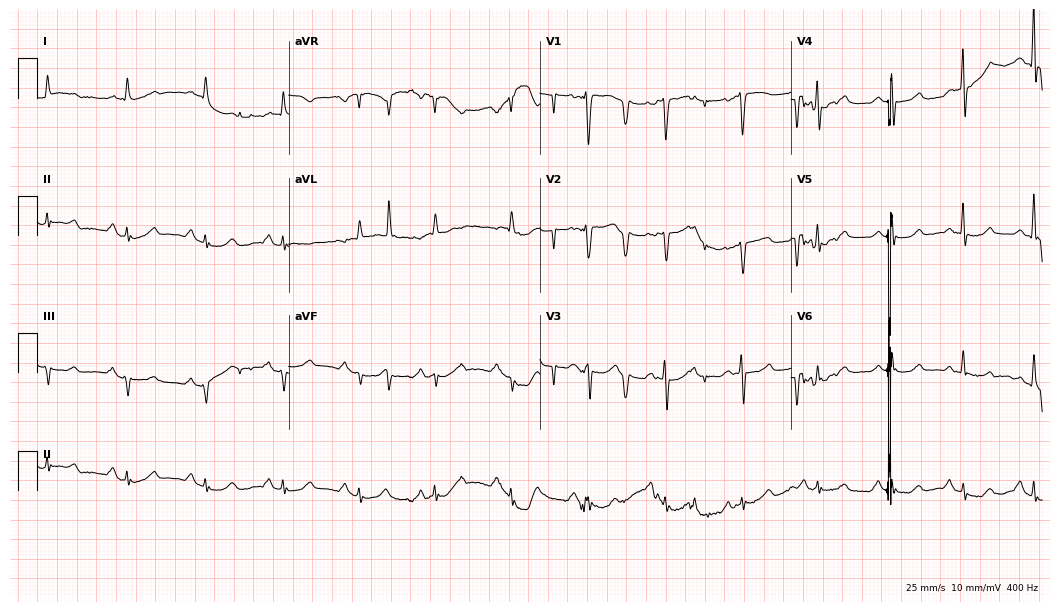
12-lead ECG (10.2-second recording at 400 Hz) from a 62-year-old woman. Screened for six findings — first-degree AV block, right bundle branch block, left bundle branch block, sinus bradycardia, atrial fibrillation, sinus tachycardia — none is recorded.